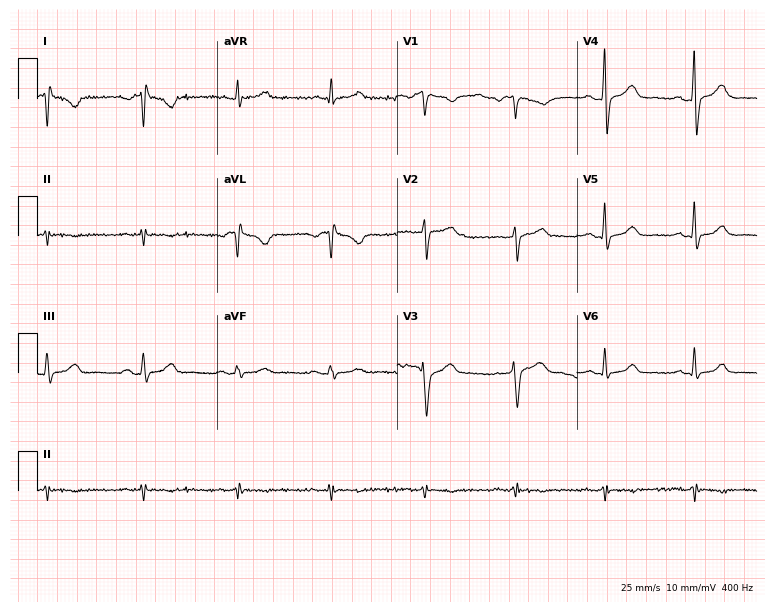
Standard 12-lead ECG recorded from a man, 61 years old (7.3-second recording at 400 Hz). None of these six findings is recorded: first-degree AV block, right bundle branch block (RBBB), left bundle branch block (LBBB), sinus bradycardia, atrial fibrillation (AF), sinus tachycardia. Only these six findings were labelled.